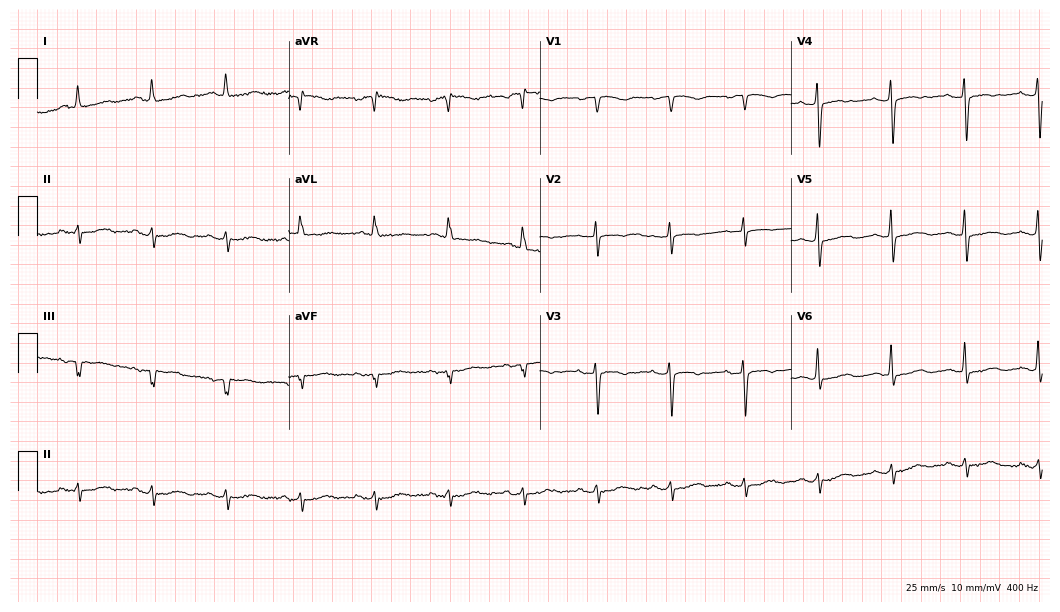
Resting 12-lead electrocardiogram. Patient: a female, 75 years old. None of these six findings is recorded: first-degree AV block, right bundle branch block (RBBB), left bundle branch block (LBBB), sinus bradycardia, atrial fibrillation (AF), sinus tachycardia. Only these six findings were labelled.